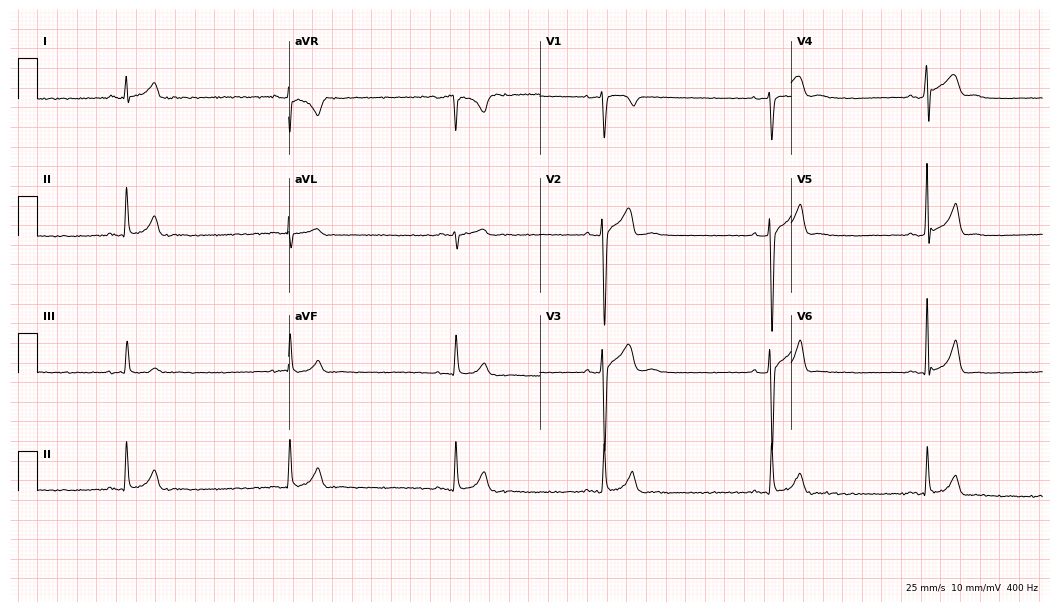
ECG — a male patient, 25 years old. Findings include sinus bradycardia (a sinus rate of 50 beats per minute or less).